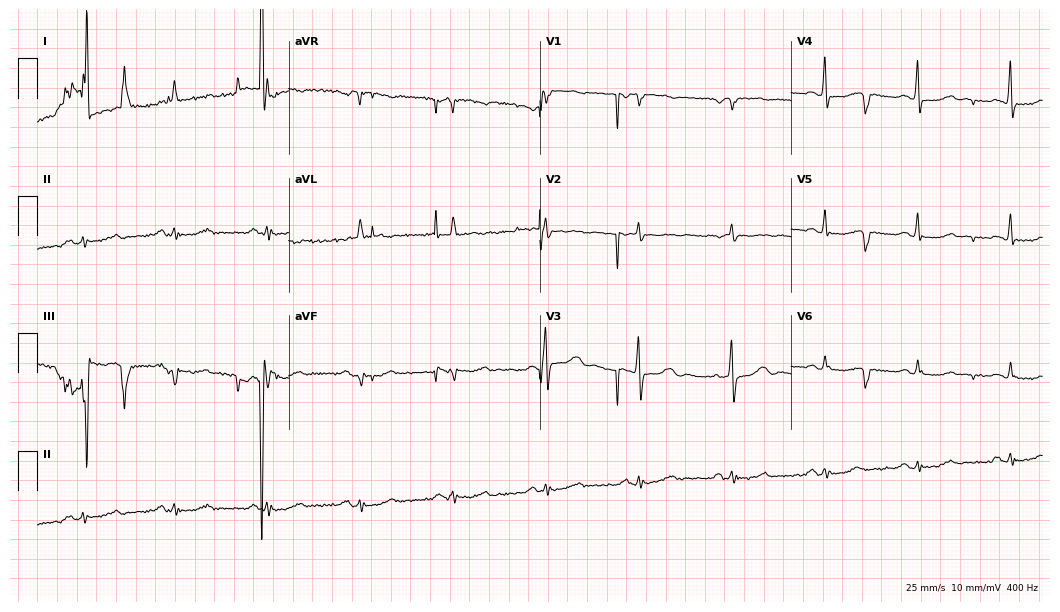
Electrocardiogram (10.2-second recording at 400 Hz), a male, 78 years old. Of the six screened findings (first-degree AV block, right bundle branch block (RBBB), left bundle branch block (LBBB), sinus bradycardia, atrial fibrillation (AF), sinus tachycardia), none is recorded.